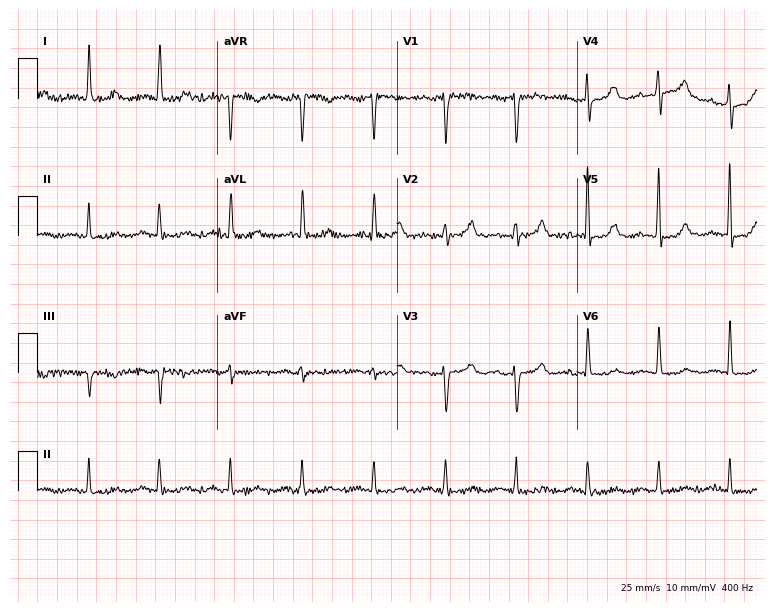
ECG — a woman, 83 years old. Screened for six findings — first-degree AV block, right bundle branch block, left bundle branch block, sinus bradycardia, atrial fibrillation, sinus tachycardia — none is recorded.